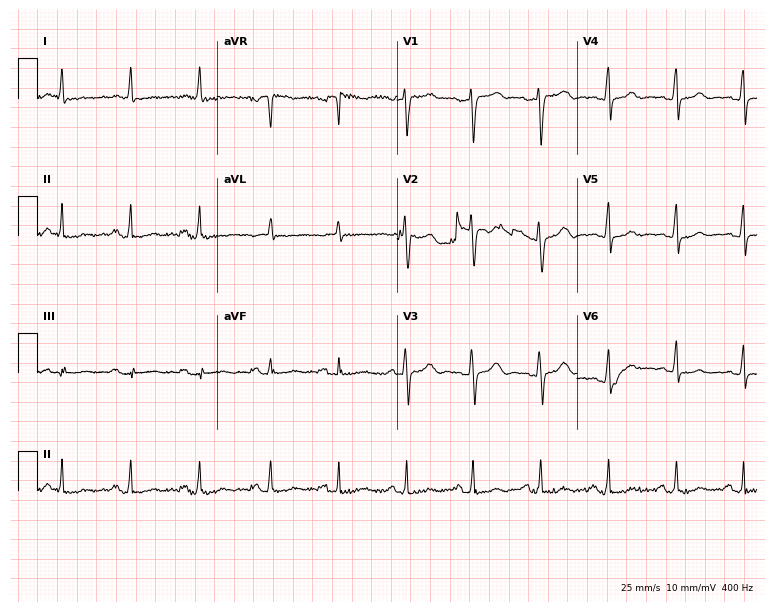
Electrocardiogram, a 38-year-old woman. Of the six screened findings (first-degree AV block, right bundle branch block, left bundle branch block, sinus bradycardia, atrial fibrillation, sinus tachycardia), none is recorded. Other findings, if any, are not listed.